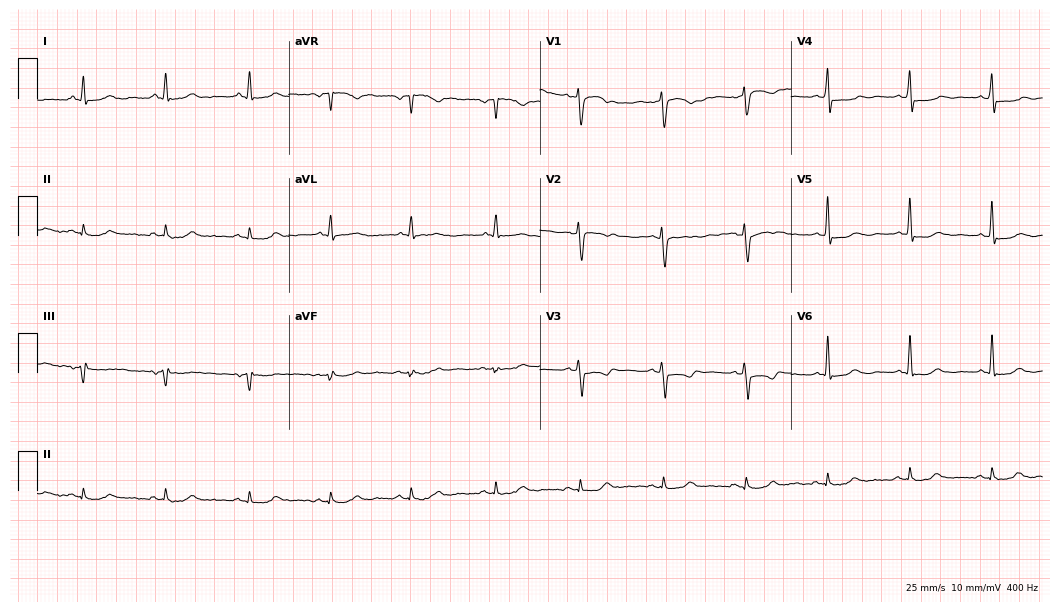
Electrocardiogram (10.2-second recording at 400 Hz), a female patient, 49 years old. Of the six screened findings (first-degree AV block, right bundle branch block (RBBB), left bundle branch block (LBBB), sinus bradycardia, atrial fibrillation (AF), sinus tachycardia), none is recorded.